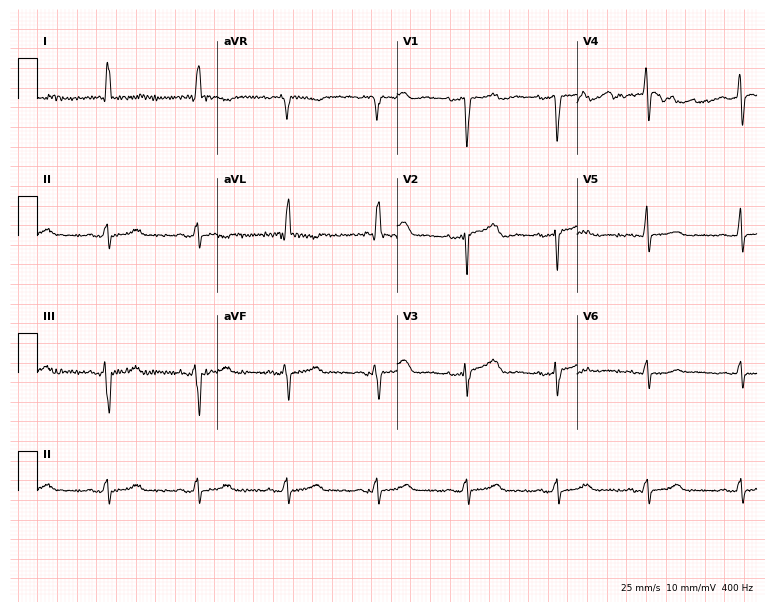
12-lead ECG from a woman, 75 years old. Screened for six findings — first-degree AV block, right bundle branch block (RBBB), left bundle branch block (LBBB), sinus bradycardia, atrial fibrillation (AF), sinus tachycardia — none is recorded.